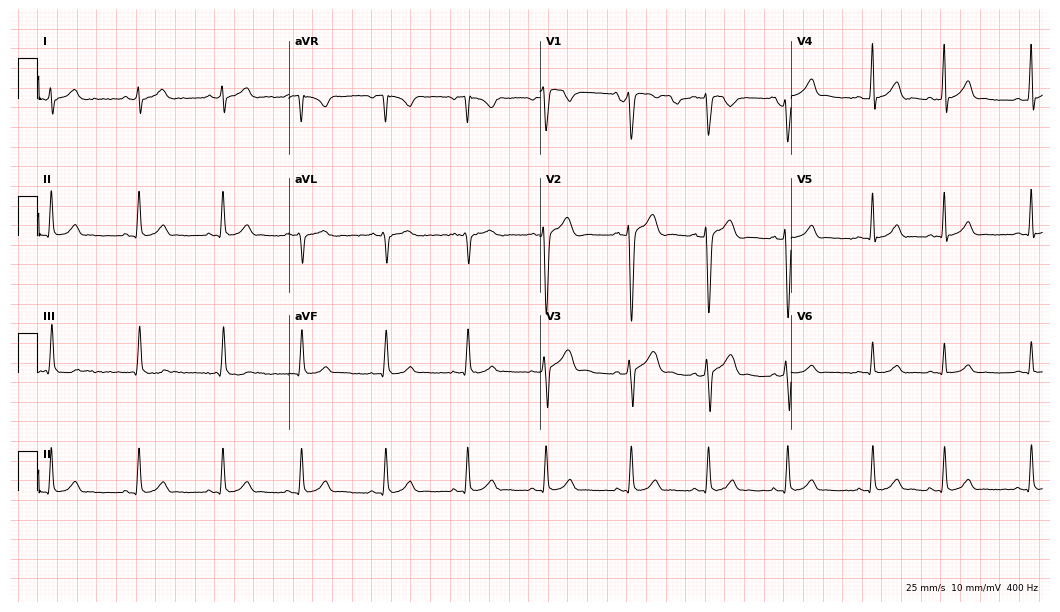
Standard 12-lead ECG recorded from a 19-year-old male (10.2-second recording at 400 Hz). Read as a normal ECG.